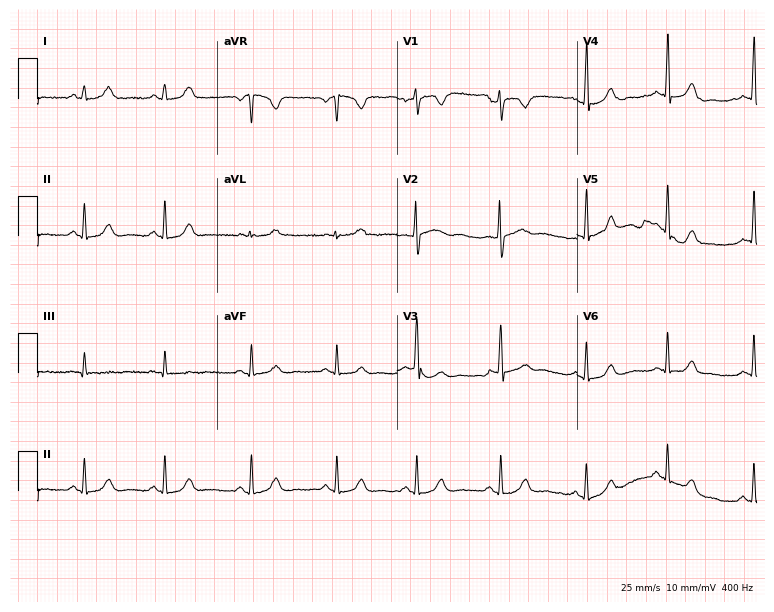
Electrocardiogram, a 22-year-old female patient. Overall reading on record: normal ECG.